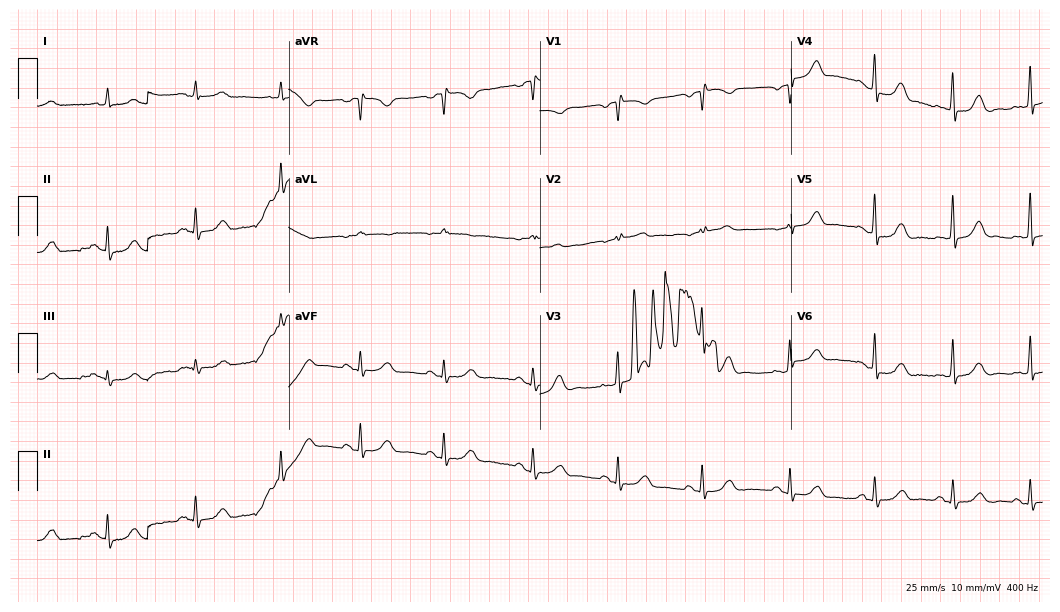
Resting 12-lead electrocardiogram. Patient: a male, 79 years old. Read as a normal ECG.